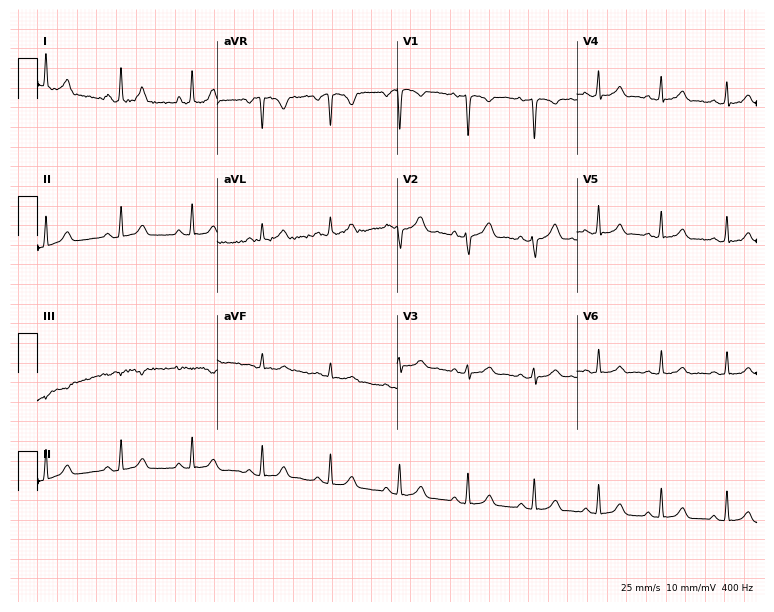
Electrocardiogram (7.3-second recording at 400 Hz), a 31-year-old woman. Of the six screened findings (first-degree AV block, right bundle branch block, left bundle branch block, sinus bradycardia, atrial fibrillation, sinus tachycardia), none is recorded. Findings outside these six are not listed.